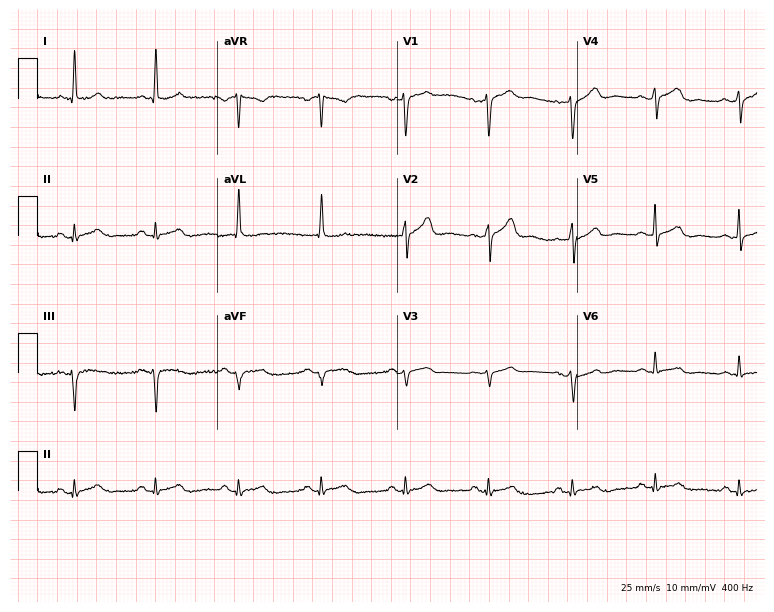
Electrocardiogram, a 69-year-old female. Of the six screened findings (first-degree AV block, right bundle branch block, left bundle branch block, sinus bradycardia, atrial fibrillation, sinus tachycardia), none is recorded. Other findings, if any, are not listed.